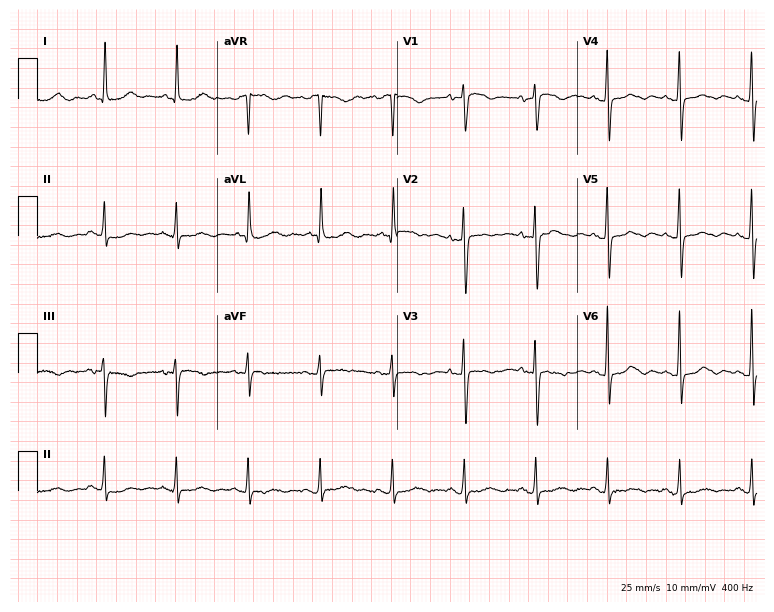
Standard 12-lead ECG recorded from a woman, 75 years old (7.3-second recording at 400 Hz). None of these six findings is recorded: first-degree AV block, right bundle branch block, left bundle branch block, sinus bradycardia, atrial fibrillation, sinus tachycardia. Other findings, if any, are not listed.